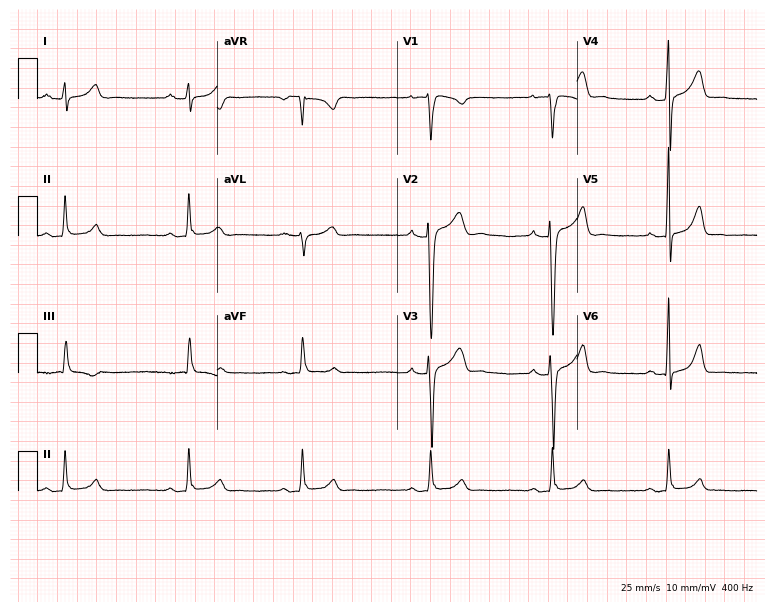
ECG — a 29-year-old man. Labelled as a normal ECG.